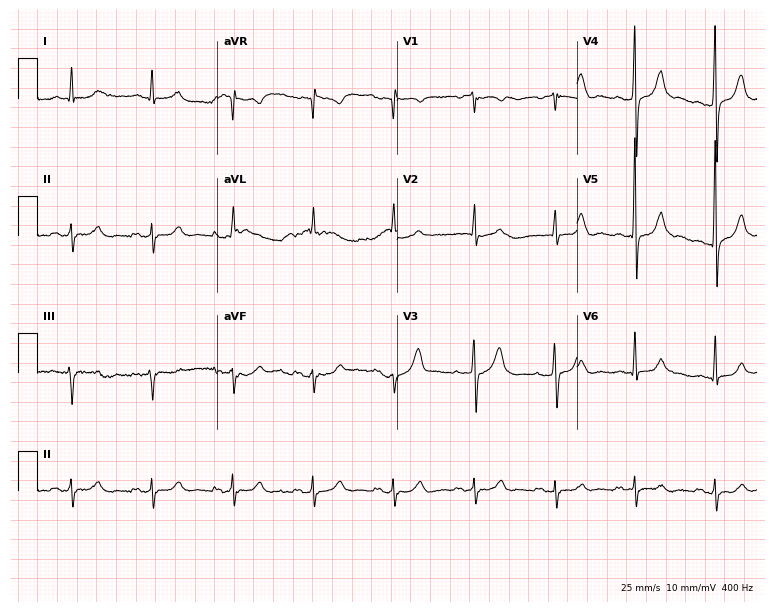
12-lead ECG from a male patient, 63 years old. Labelled as a normal ECG.